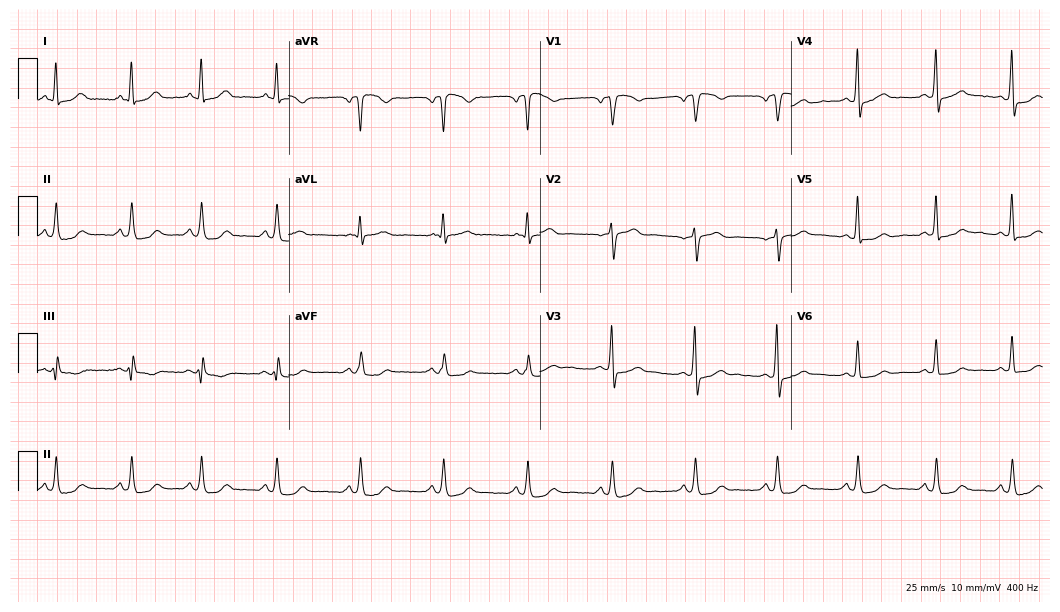
ECG — a 50-year-old male patient. Screened for six findings — first-degree AV block, right bundle branch block, left bundle branch block, sinus bradycardia, atrial fibrillation, sinus tachycardia — none is recorded. Other findings, if any, are not listed.